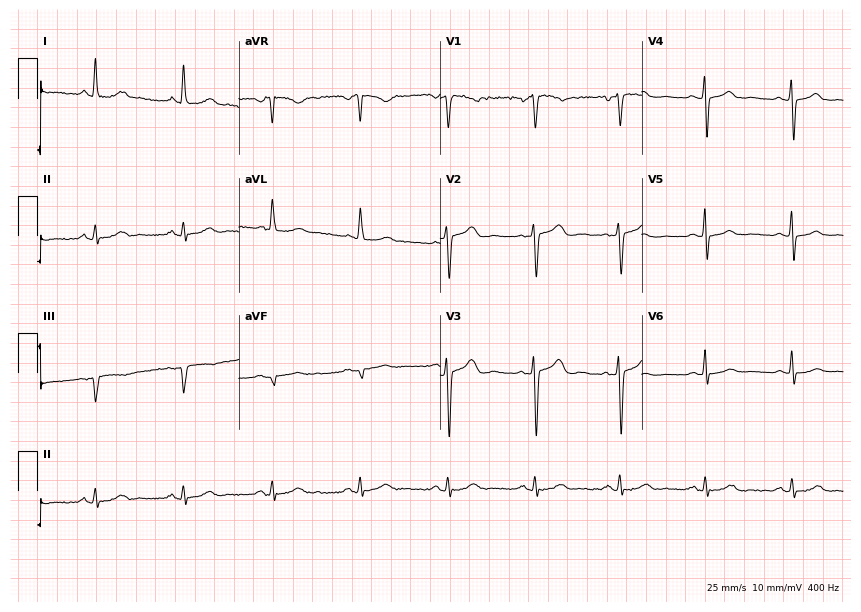
ECG — a woman, 69 years old. Labelled as a normal ECG.